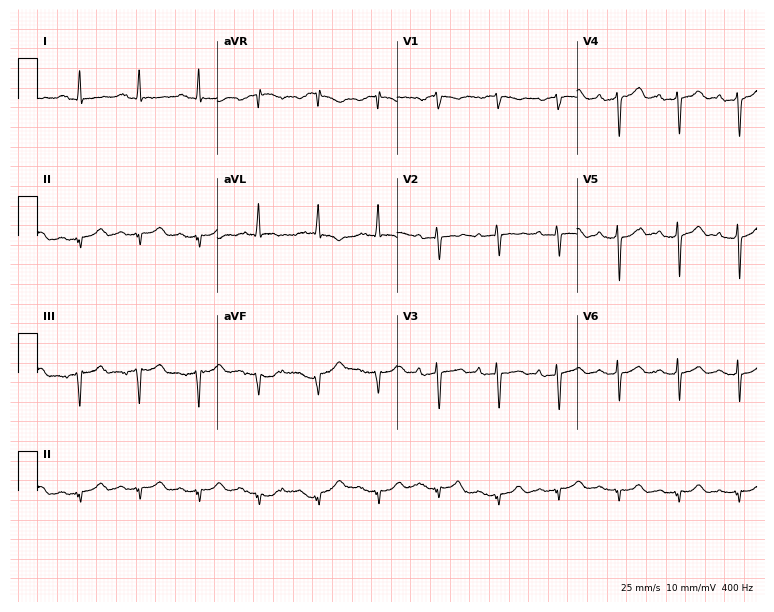
ECG — a male, 86 years old. Screened for six findings — first-degree AV block, right bundle branch block (RBBB), left bundle branch block (LBBB), sinus bradycardia, atrial fibrillation (AF), sinus tachycardia — none is recorded. Other findings, if any, are not listed.